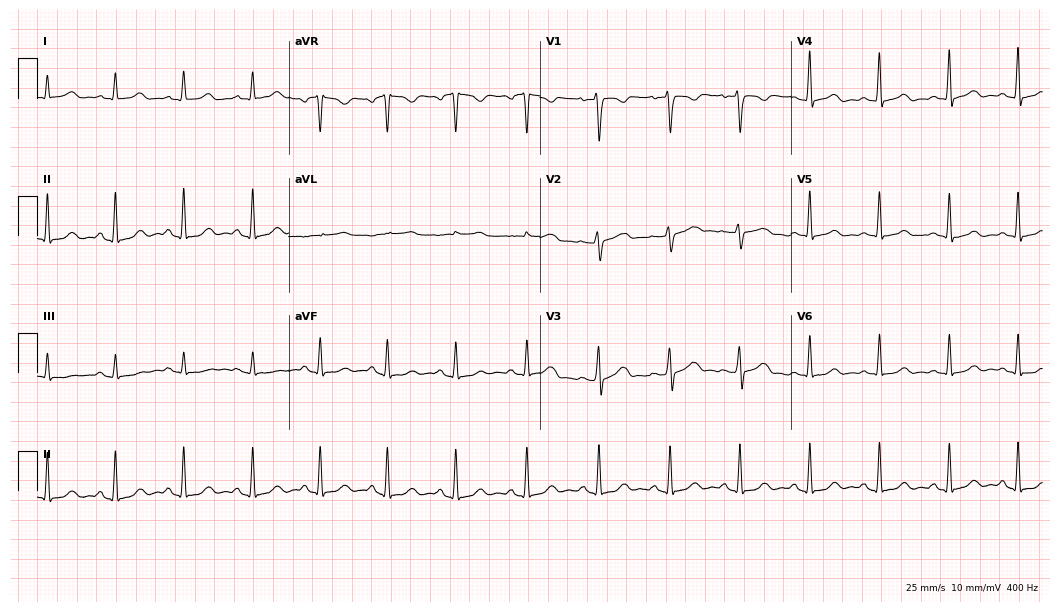
ECG — a 28-year-old female patient. Screened for six findings — first-degree AV block, right bundle branch block, left bundle branch block, sinus bradycardia, atrial fibrillation, sinus tachycardia — none is recorded.